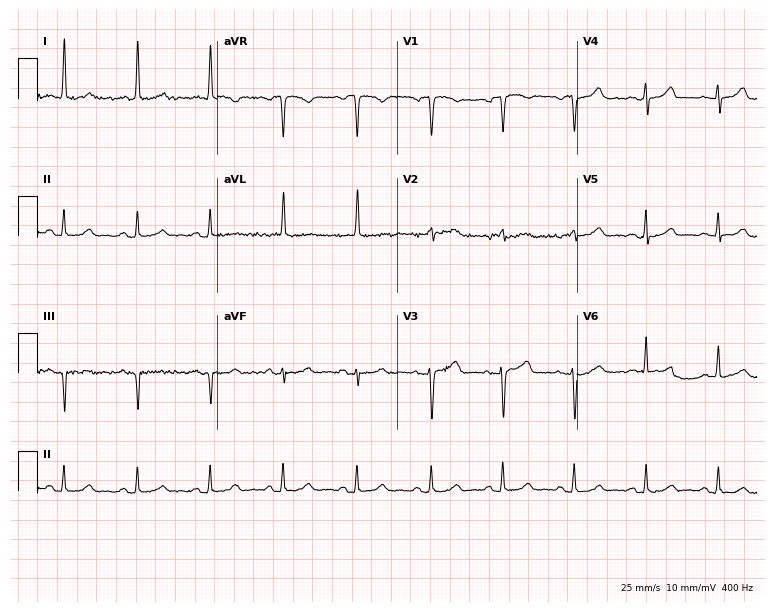
Resting 12-lead electrocardiogram. Patient: an 81-year-old woman. Read as a normal ECG.